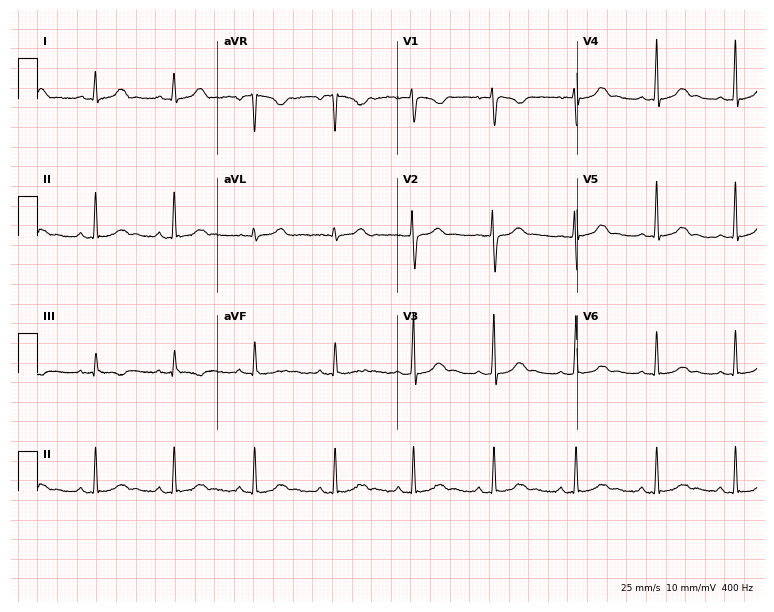
Standard 12-lead ECG recorded from a 21-year-old female patient (7.3-second recording at 400 Hz). Read as a normal ECG.